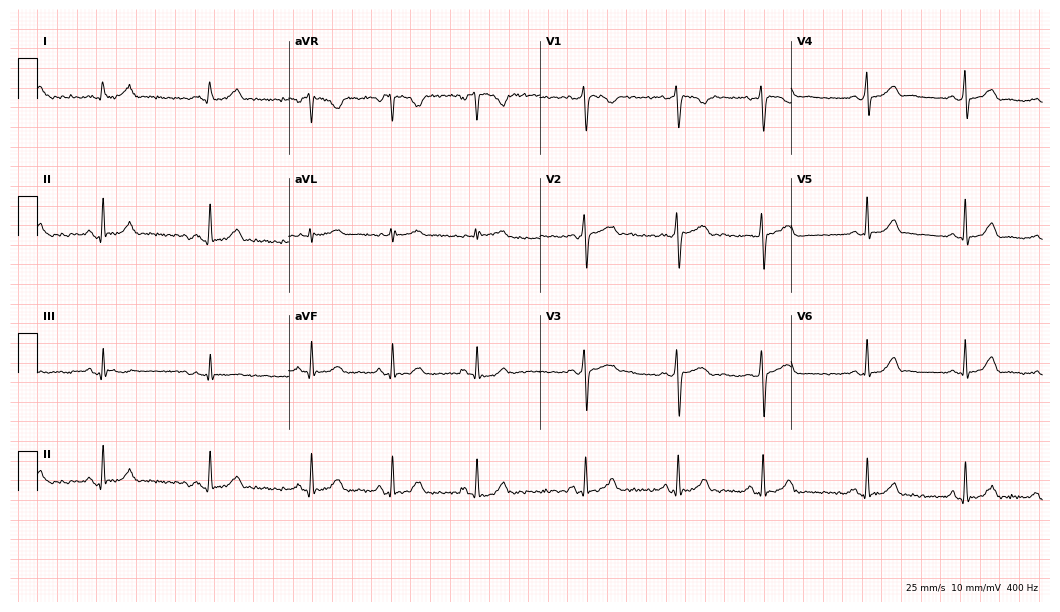
ECG — a 25-year-old female patient. Labelled as a normal ECG.